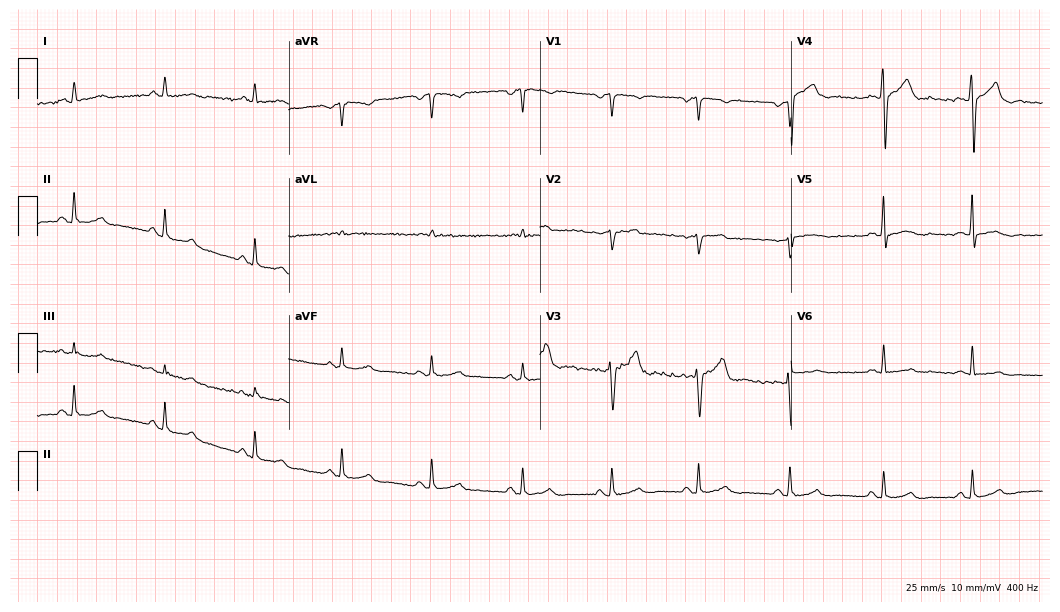
ECG (10.2-second recording at 400 Hz) — a 42-year-old man. Labelled as a normal ECG.